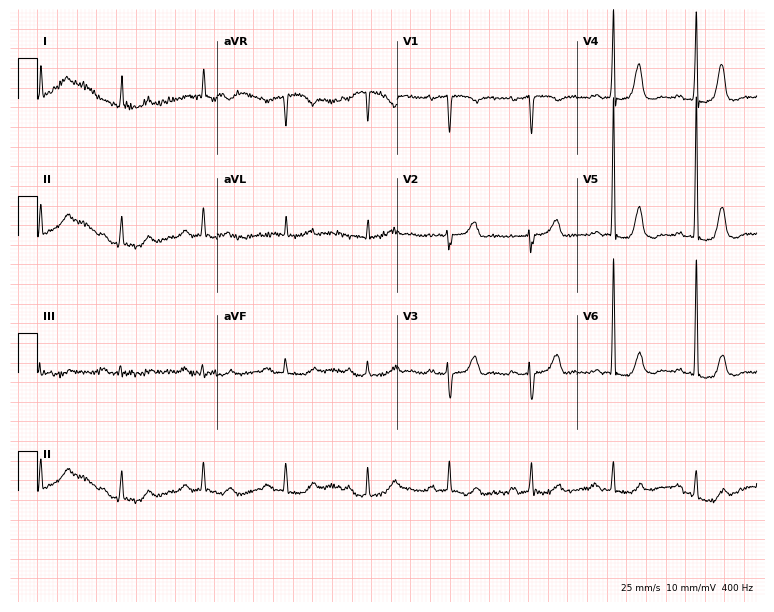
Resting 12-lead electrocardiogram (7.3-second recording at 400 Hz). Patient: a female, 73 years old. Read as a normal ECG.